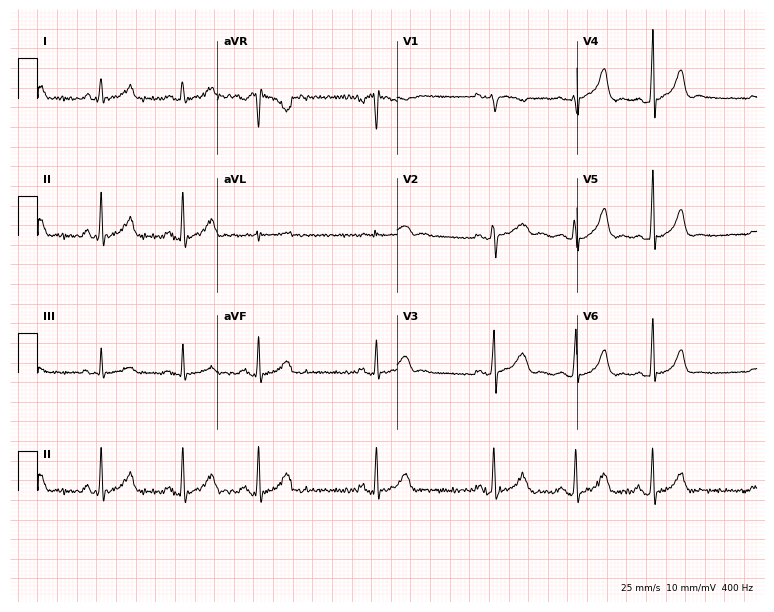
Resting 12-lead electrocardiogram. Patient: a female, 22 years old. Read as a normal ECG.